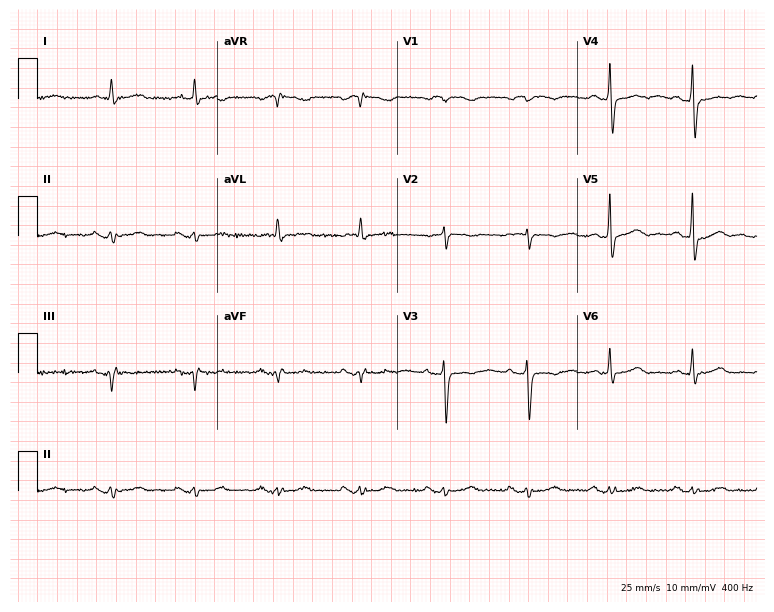
12-lead ECG (7.3-second recording at 400 Hz) from a woman, 66 years old. Screened for six findings — first-degree AV block, right bundle branch block, left bundle branch block, sinus bradycardia, atrial fibrillation, sinus tachycardia — none is recorded. Findings outside these six are not listed.